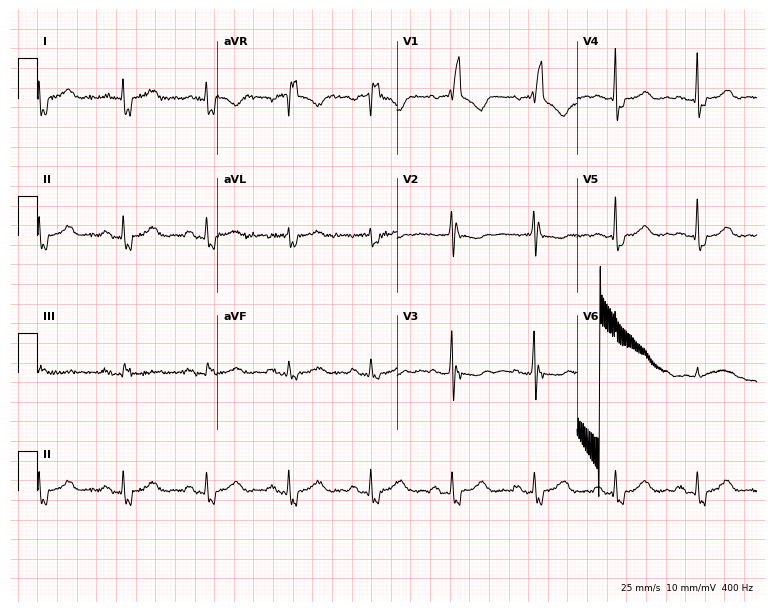
12-lead ECG from an 80-year-old female patient. No first-degree AV block, right bundle branch block, left bundle branch block, sinus bradycardia, atrial fibrillation or sinus tachycardia recorded for this tracing.